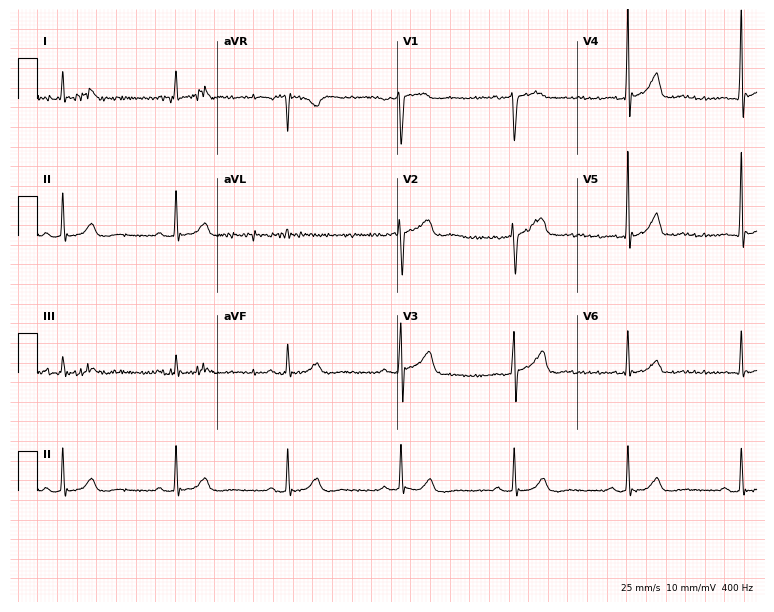
12-lead ECG from a 75-year-old male (7.3-second recording at 400 Hz). No first-degree AV block, right bundle branch block (RBBB), left bundle branch block (LBBB), sinus bradycardia, atrial fibrillation (AF) or sinus tachycardia recorded for this tracing.